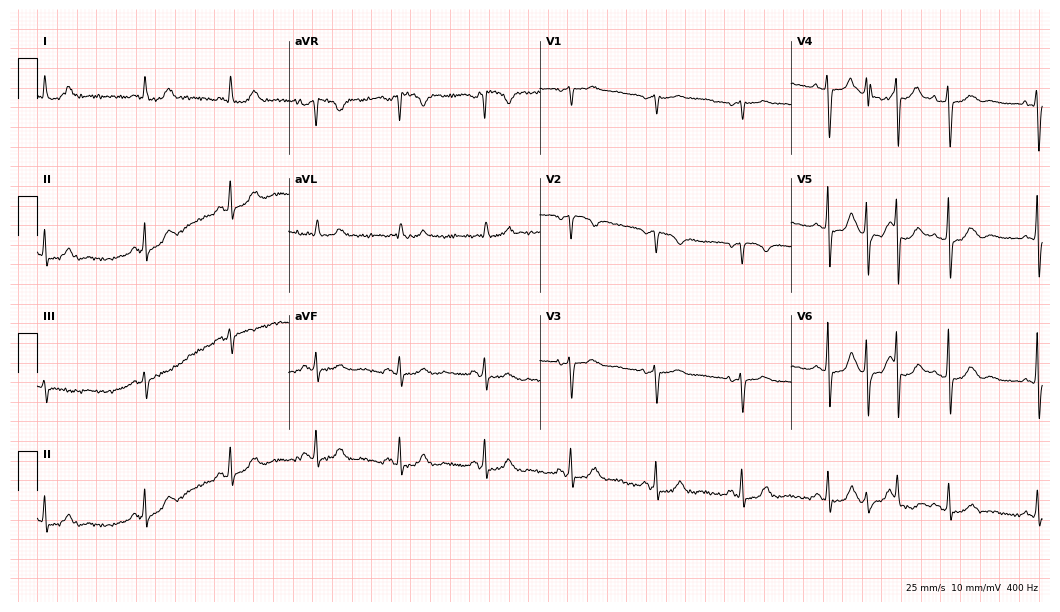
Electrocardiogram, a female, 58 years old. Of the six screened findings (first-degree AV block, right bundle branch block, left bundle branch block, sinus bradycardia, atrial fibrillation, sinus tachycardia), none is recorded.